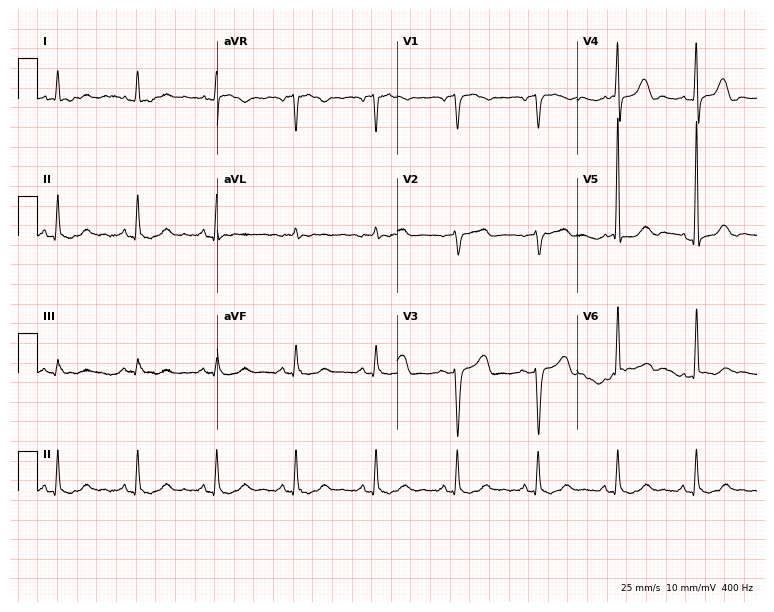
Resting 12-lead electrocardiogram. Patient: an 83-year-old female. Read as a normal ECG.